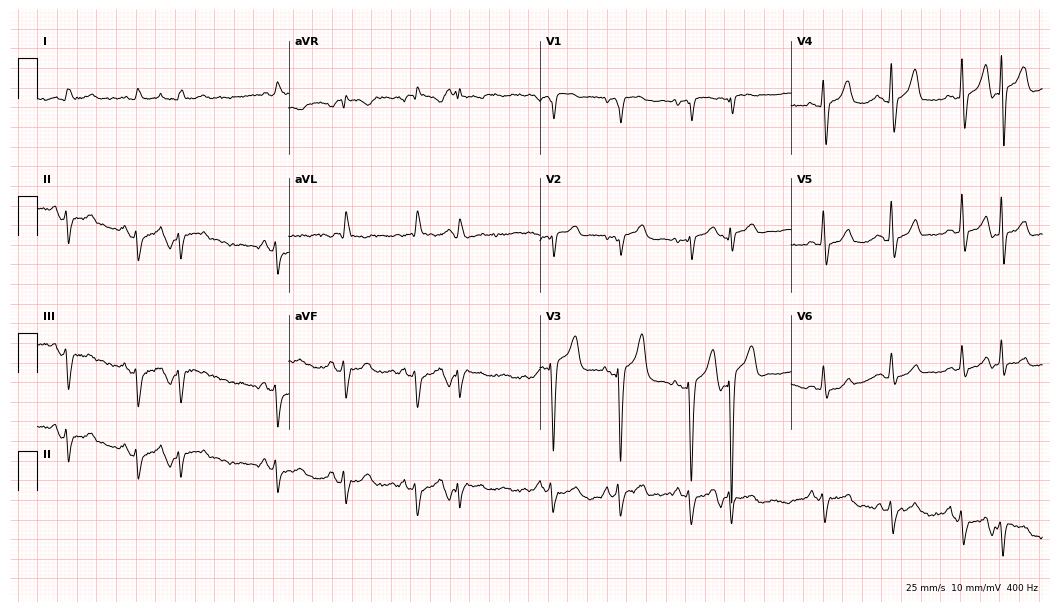
Resting 12-lead electrocardiogram (10.2-second recording at 400 Hz). Patient: a 74-year-old man. None of these six findings is recorded: first-degree AV block, right bundle branch block, left bundle branch block, sinus bradycardia, atrial fibrillation, sinus tachycardia.